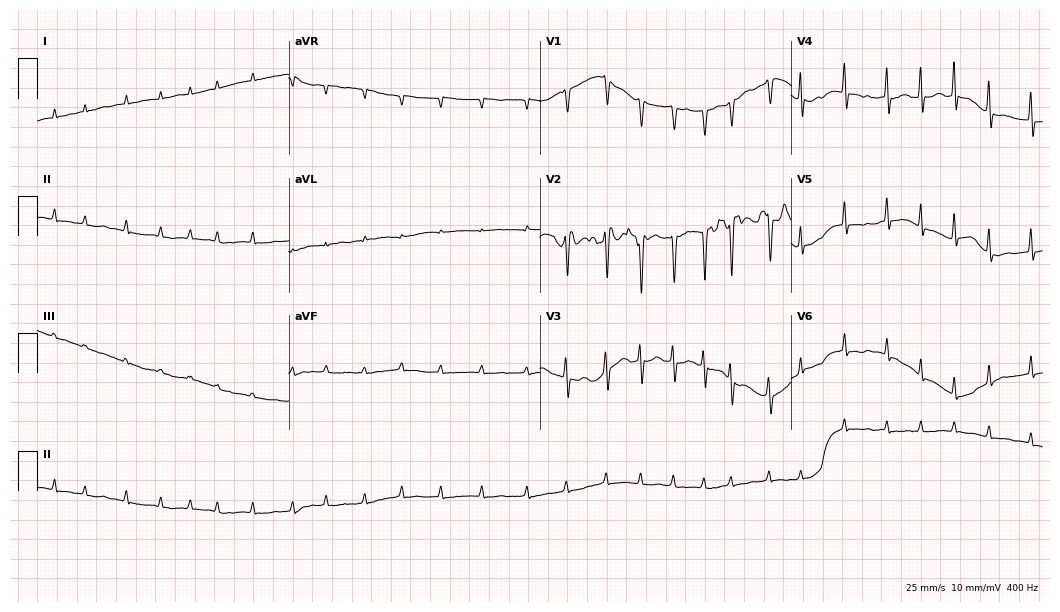
ECG — an 83-year-old female patient. Findings include atrial fibrillation (AF).